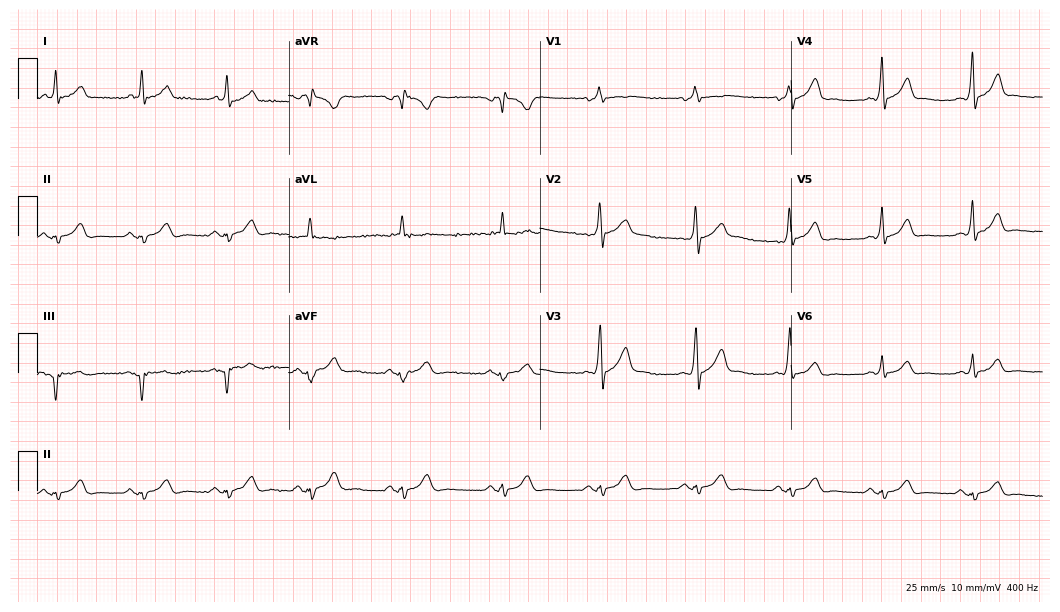
Resting 12-lead electrocardiogram (10.2-second recording at 400 Hz). Patient: a male, 52 years old. None of these six findings is recorded: first-degree AV block, right bundle branch block, left bundle branch block, sinus bradycardia, atrial fibrillation, sinus tachycardia. Only these six findings were labelled.